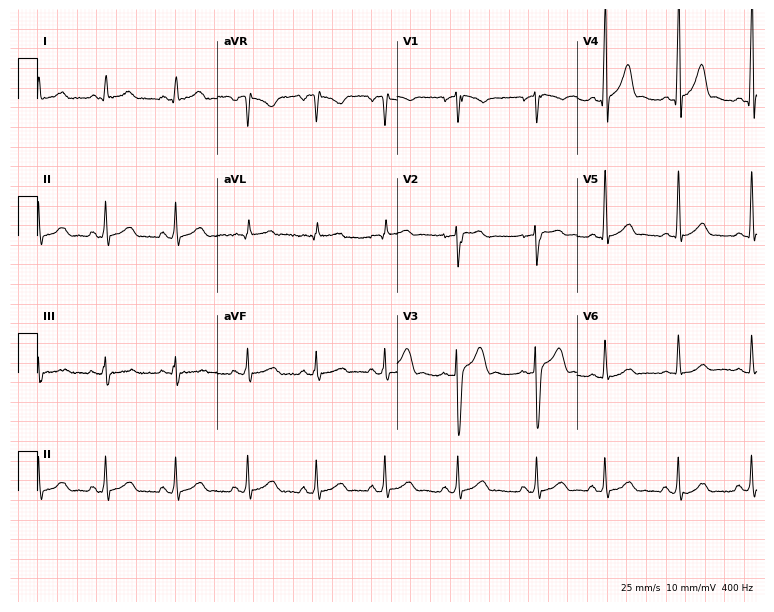
Standard 12-lead ECG recorded from a male patient, 17 years old. None of these six findings is recorded: first-degree AV block, right bundle branch block, left bundle branch block, sinus bradycardia, atrial fibrillation, sinus tachycardia.